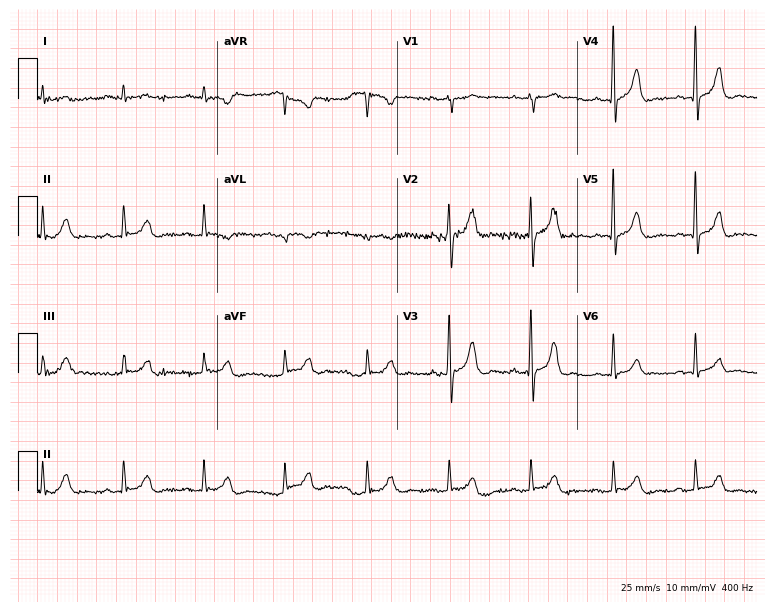
12-lead ECG from a male, 83 years old. Labelled as a normal ECG.